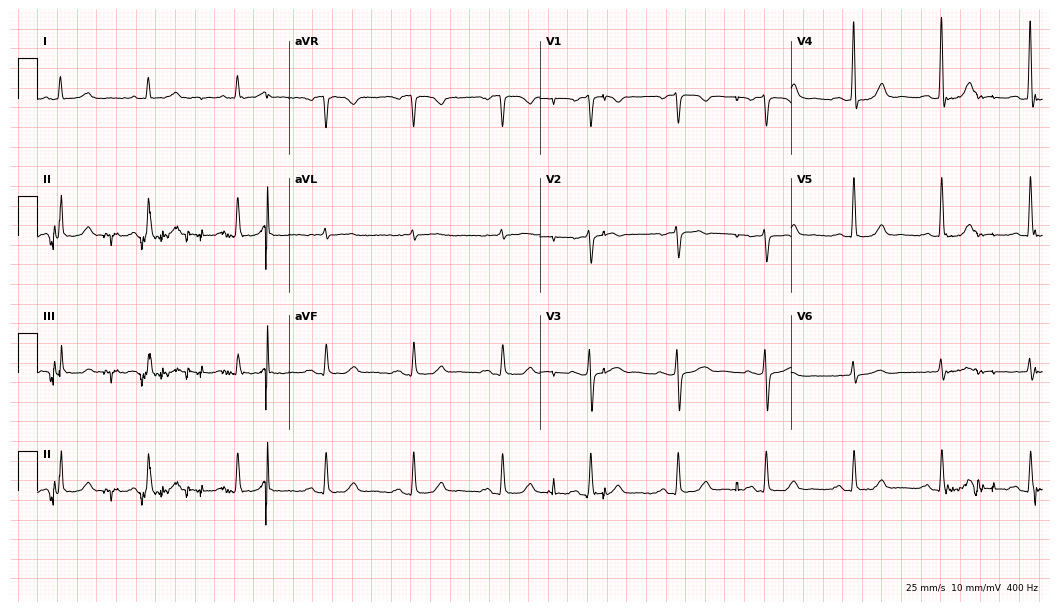
Electrocardiogram, a 66-year-old woman. Of the six screened findings (first-degree AV block, right bundle branch block, left bundle branch block, sinus bradycardia, atrial fibrillation, sinus tachycardia), none is recorded. Only these six findings were labelled.